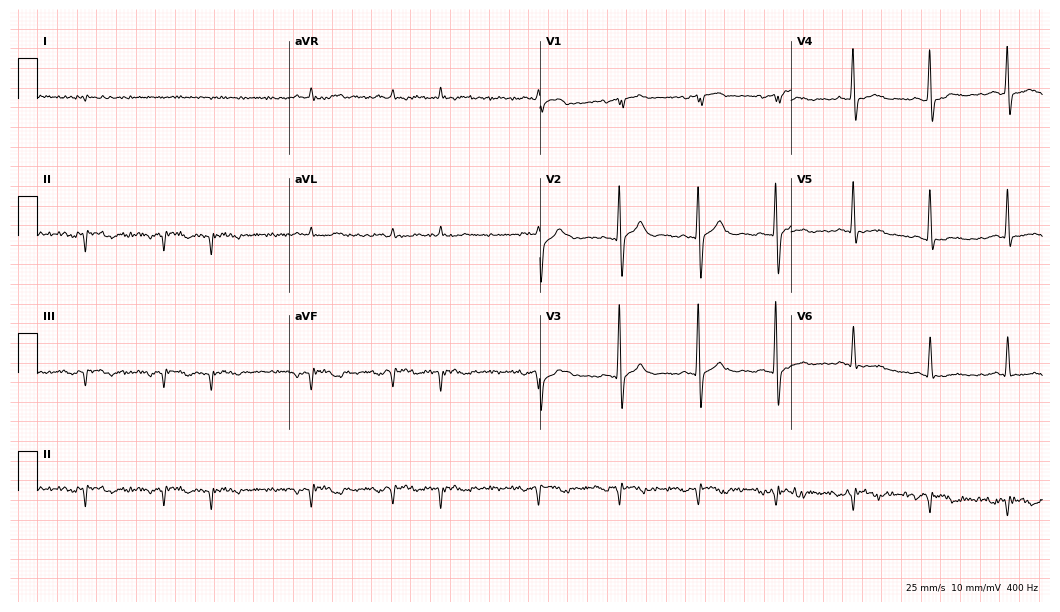
Resting 12-lead electrocardiogram (10.2-second recording at 400 Hz). Patient: a 71-year-old male. None of these six findings is recorded: first-degree AV block, right bundle branch block (RBBB), left bundle branch block (LBBB), sinus bradycardia, atrial fibrillation (AF), sinus tachycardia.